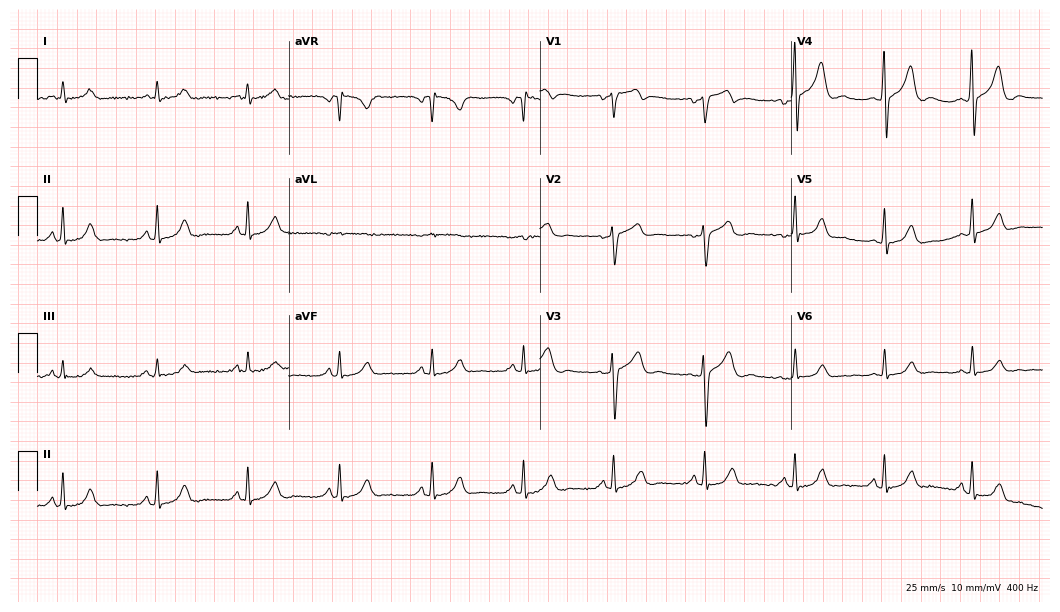
Resting 12-lead electrocardiogram (10.2-second recording at 400 Hz). Patient: a male, 38 years old. Read as a normal ECG.